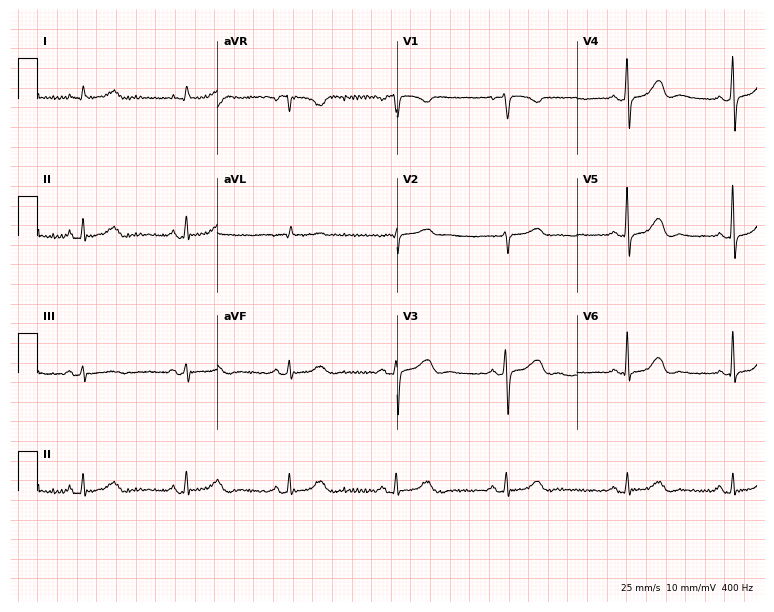
12-lead ECG from a female, 55 years old. Screened for six findings — first-degree AV block, right bundle branch block (RBBB), left bundle branch block (LBBB), sinus bradycardia, atrial fibrillation (AF), sinus tachycardia — none is recorded.